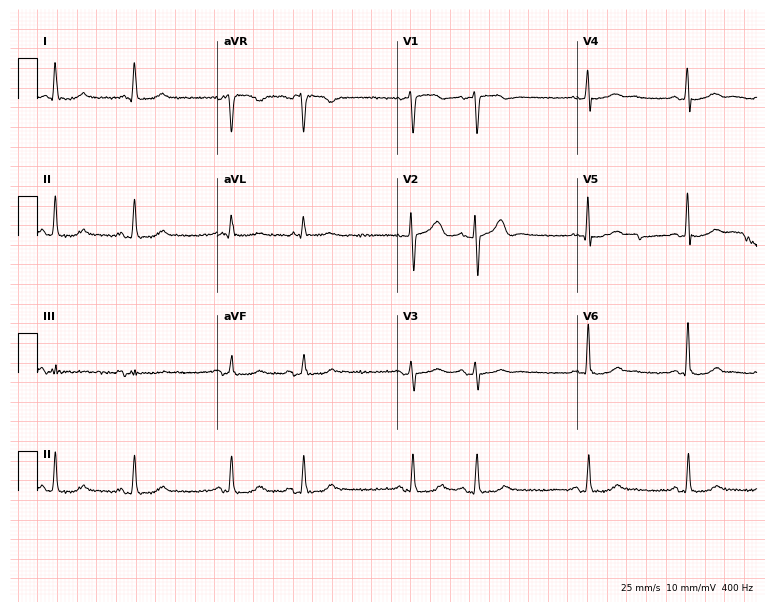
Electrocardiogram, a female patient, 66 years old. Of the six screened findings (first-degree AV block, right bundle branch block, left bundle branch block, sinus bradycardia, atrial fibrillation, sinus tachycardia), none is recorded. Only these six findings were labelled.